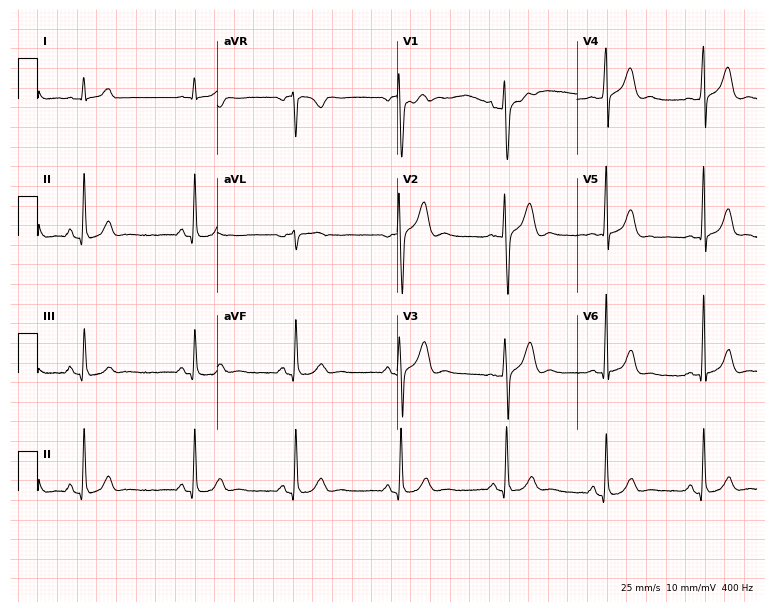
12-lead ECG from a man, 37 years old. No first-degree AV block, right bundle branch block (RBBB), left bundle branch block (LBBB), sinus bradycardia, atrial fibrillation (AF) or sinus tachycardia recorded for this tracing.